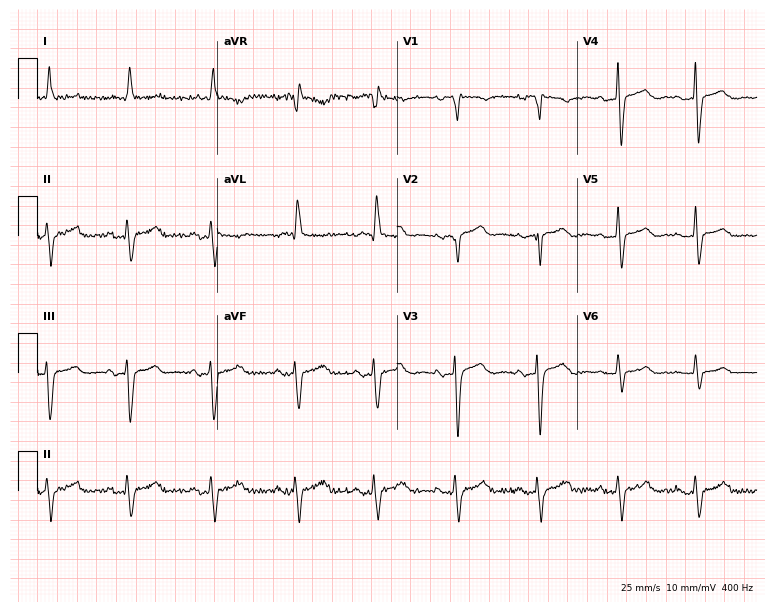
Electrocardiogram, an 83-year-old female. Of the six screened findings (first-degree AV block, right bundle branch block, left bundle branch block, sinus bradycardia, atrial fibrillation, sinus tachycardia), none is recorded.